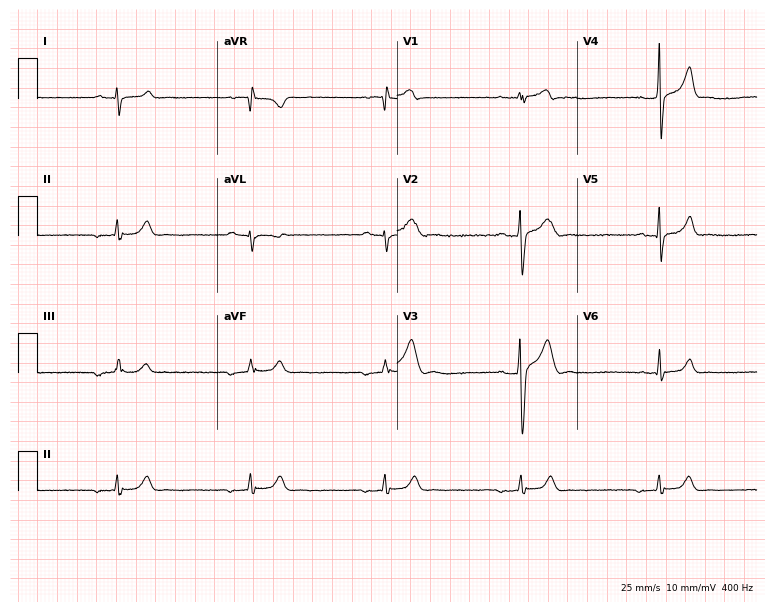
Resting 12-lead electrocardiogram (7.3-second recording at 400 Hz). Patient: a man, 19 years old. None of these six findings is recorded: first-degree AV block, right bundle branch block (RBBB), left bundle branch block (LBBB), sinus bradycardia, atrial fibrillation (AF), sinus tachycardia.